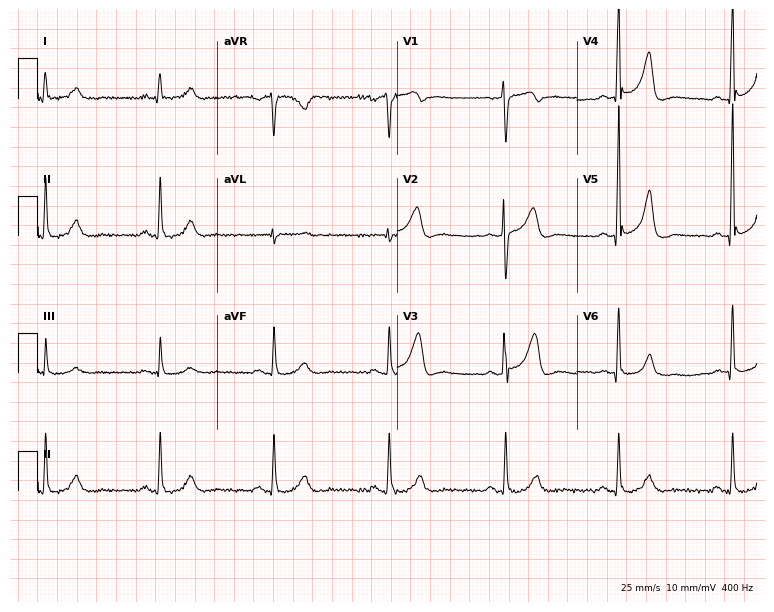
12-lead ECG from a man, 64 years old. No first-degree AV block, right bundle branch block (RBBB), left bundle branch block (LBBB), sinus bradycardia, atrial fibrillation (AF) or sinus tachycardia recorded for this tracing. Findings outside these six are not listed.